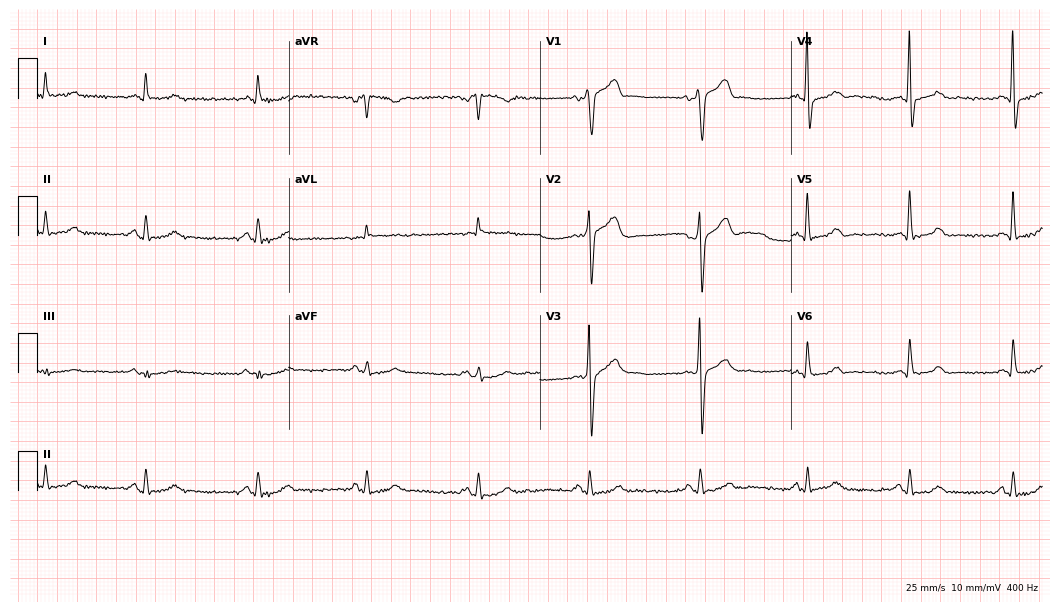
12-lead ECG from a 60-year-old man. Screened for six findings — first-degree AV block, right bundle branch block, left bundle branch block, sinus bradycardia, atrial fibrillation, sinus tachycardia — none is recorded. Findings outside these six are not listed.